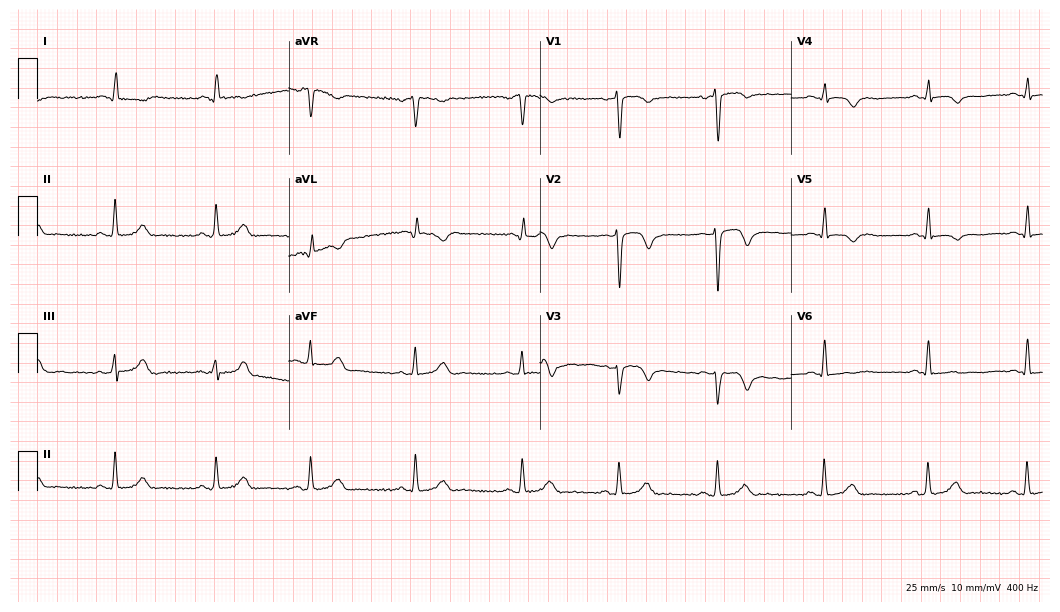
12-lead ECG from a 47-year-old woman. Screened for six findings — first-degree AV block, right bundle branch block, left bundle branch block, sinus bradycardia, atrial fibrillation, sinus tachycardia — none is recorded.